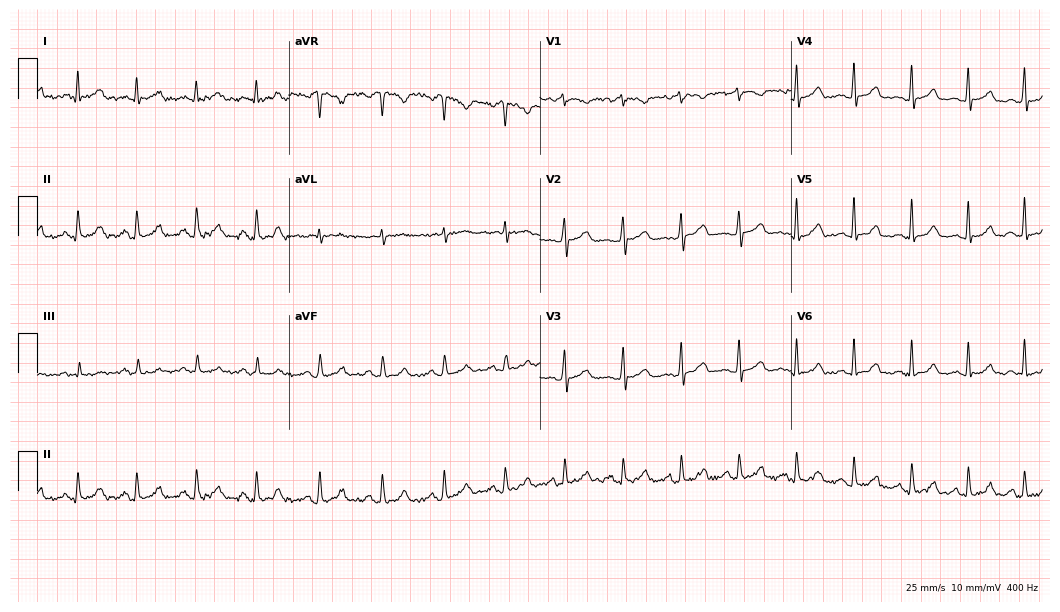
12-lead ECG from a 43-year-old female (10.2-second recording at 400 Hz). No first-degree AV block, right bundle branch block (RBBB), left bundle branch block (LBBB), sinus bradycardia, atrial fibrillation (AF) or sinus tachycardia recorded for this tracing. Only these six findings were labelled.